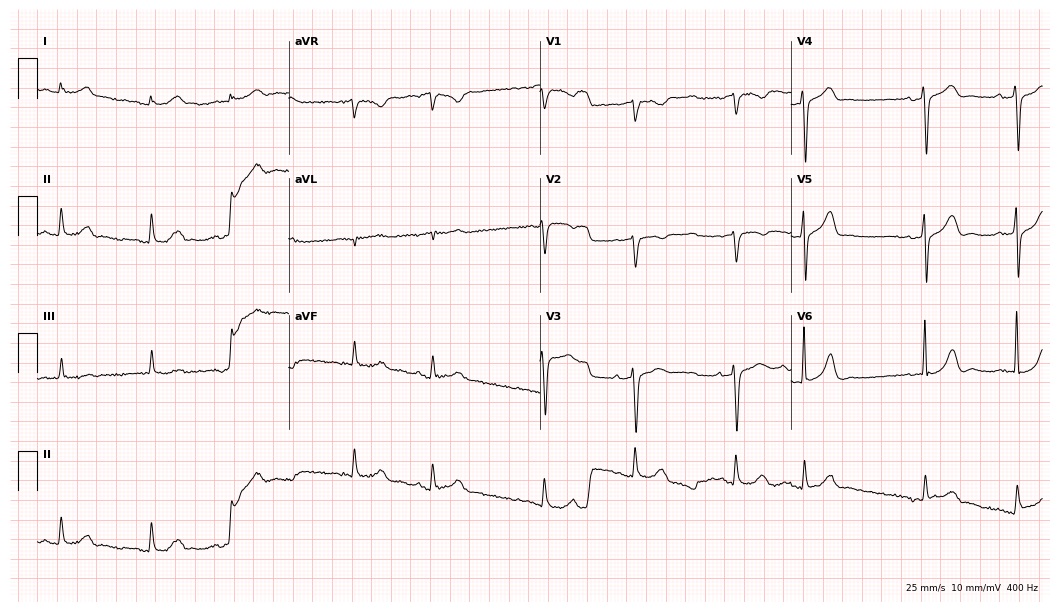
Electrocardiogram, a male patient, 80 years old. Of the six screened findings (first-degree AV block, right bundle branch block (RBBB), left bundle branch block (LBBB), sinus bradycardia, atrial fibrillation (AF), sinus tachycardia), none is recorded.